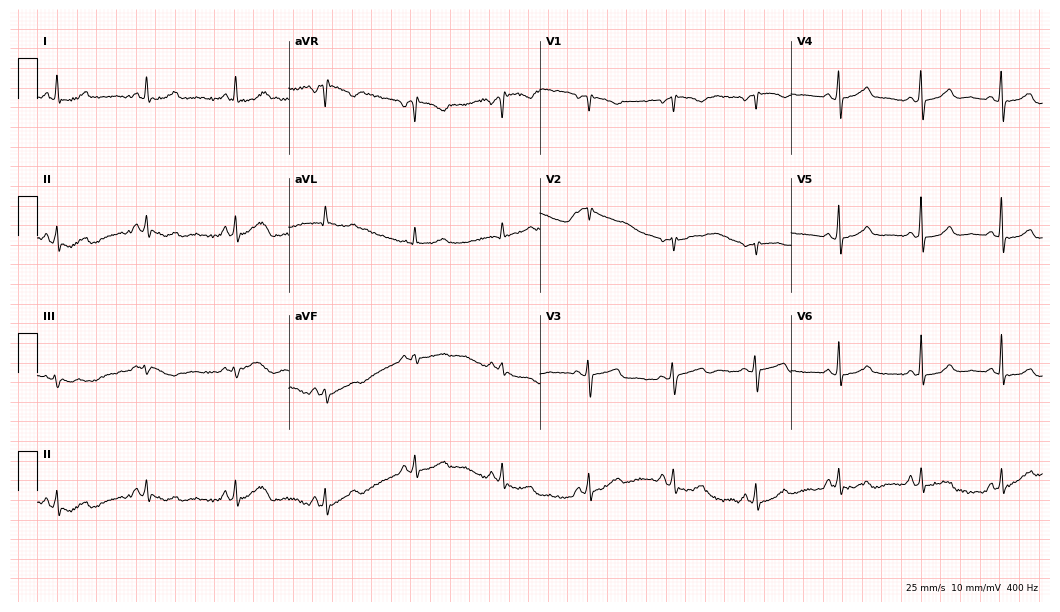
12-lead ECG from a 36-year-old female. No first-degree AV block, right bundle branch block, left bundle branch block, sinus bradycardia, atrial fibrillation or sinus tachycardia recorded for this tracing. Only these six findings were labelled.